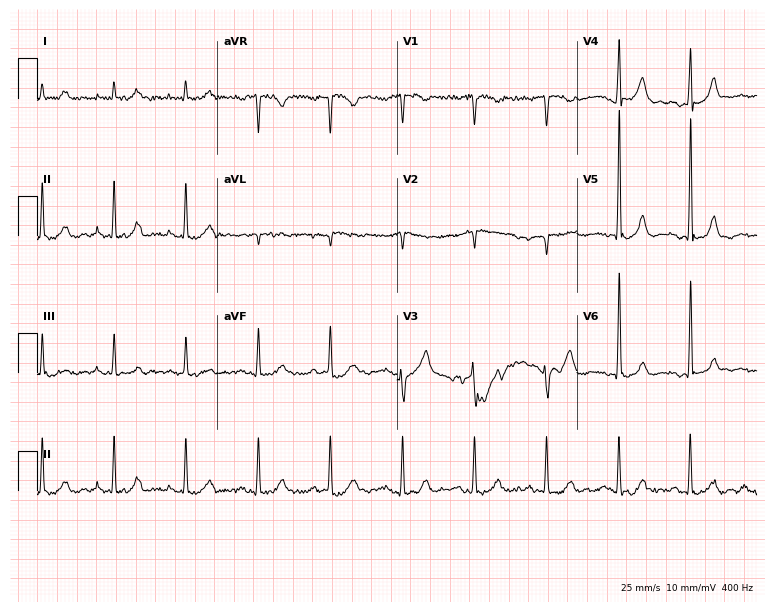
Resting 12-lead electrocardiogram (7.3-second recording at 400 Hz). Patient: an 84-year-old male. Read as a normal ECG.